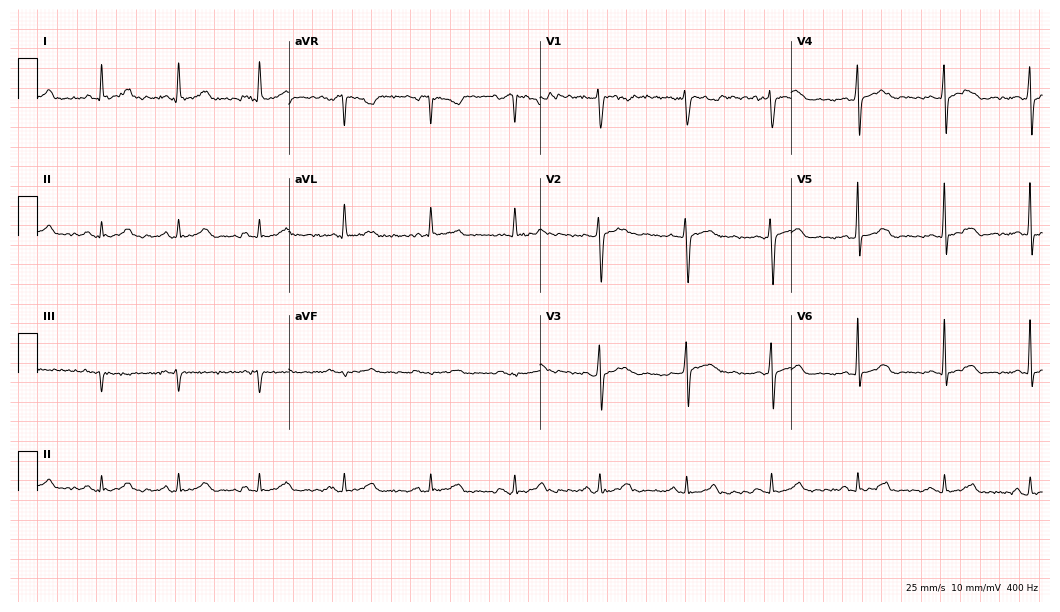
ECG — a female patient, 32 years old. Labelled as a normal ECG.